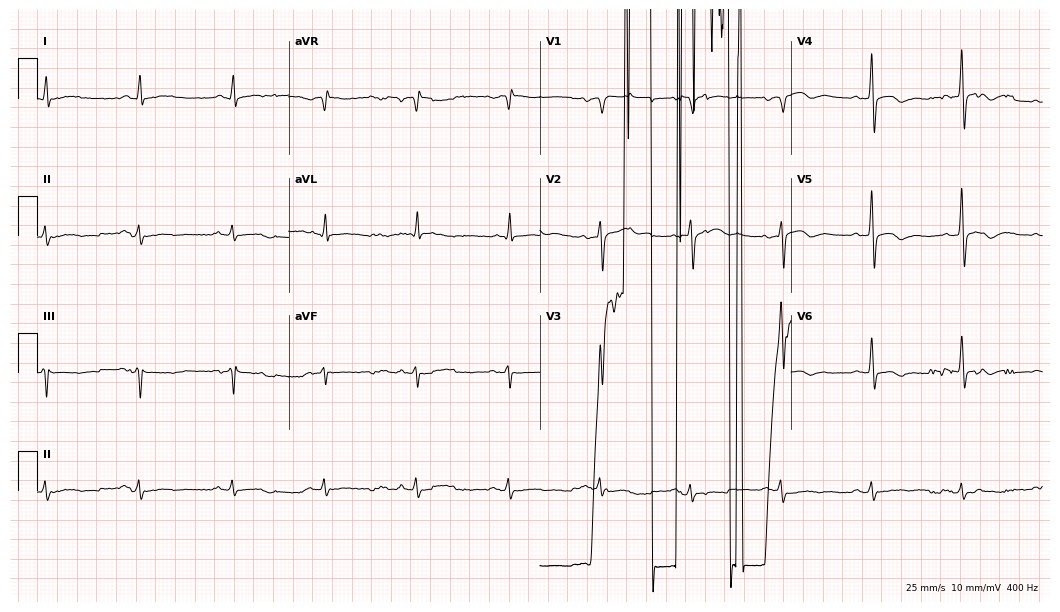
Electrocardiogram, a 69-year-old man. Of the six screened findings (first-degree AV block, right bundle branch block, left bundle branch block, sinus bradycardia, atrial fibrillation, sinus tachycardia), none is recorded.